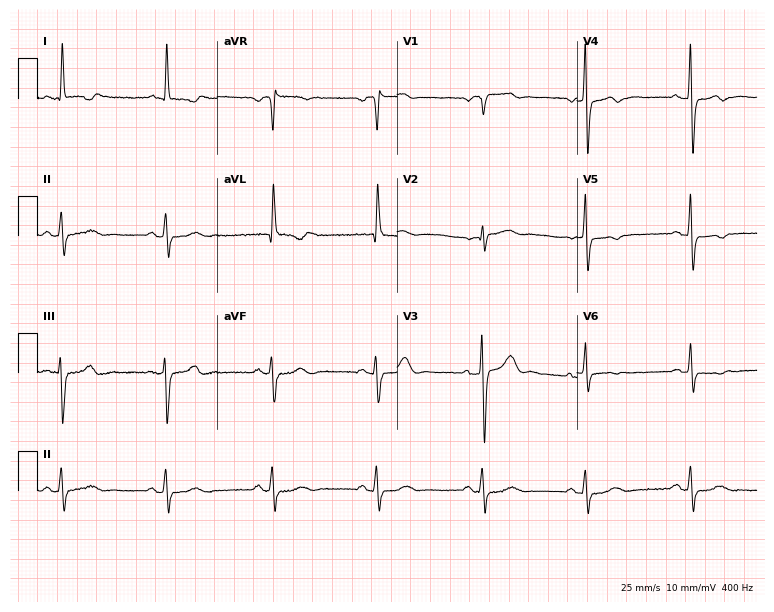
ECG (7.3-second recording at 400 Hz) — a female patient, 81 years old. Screened for six findings — first-degree AV block, right bundle branch block, left bundle branch block, sinus bradycardia, atrial fibrillation, sinus tachycardia — none is recorded.